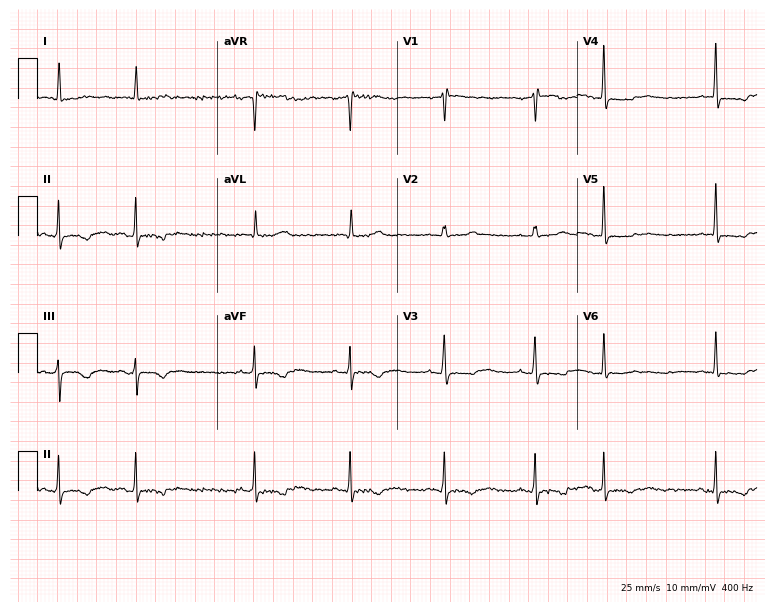
Standard 12-lead ECG recorded from a 74-year-old woman (7.3-second recording at 400 Hz). None of these six findings is recorded: first-degree AV block, right bundle branch block, left bundle branch block, sinus bradycardia, atrial fibrillation, sinus tachycardia. Only these six findings were labelled.